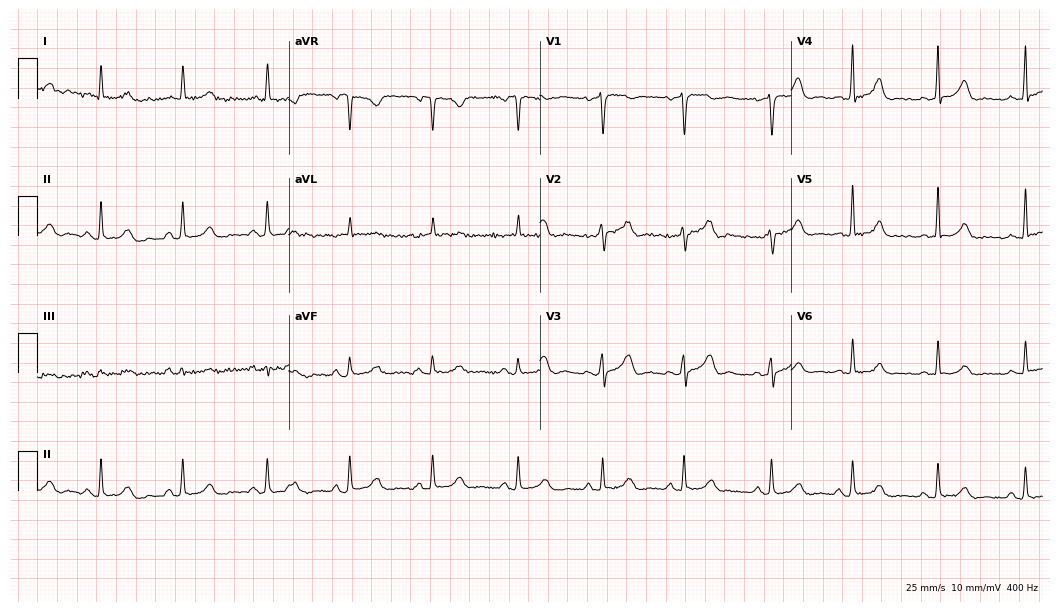
ECG (10.2-second recording at 400 Hz) — a female, 70 years old. Labelled as a normal ECG.